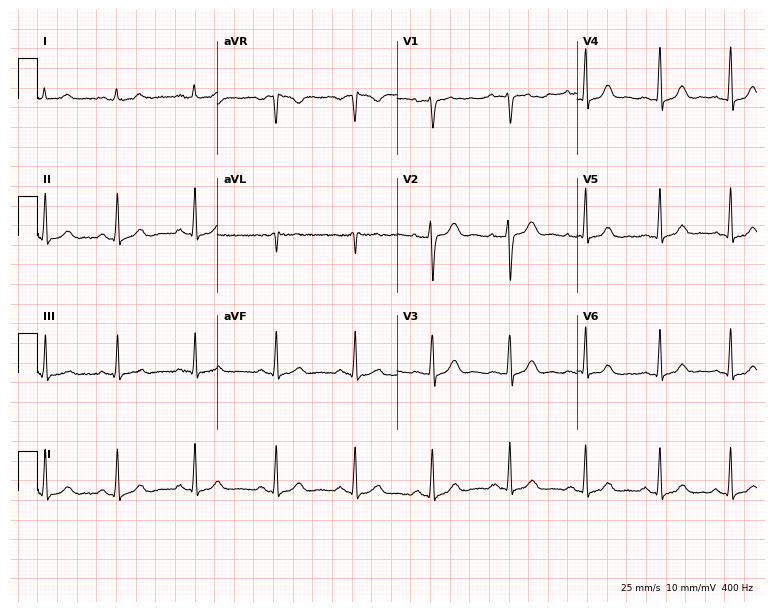
12-lead ECG from a 32-year-old female patient. Screened for six findings — first-degree AV block, right bundle branch block (RBBB), left bundle branch block (LBBB), sinus bradycardia, atrial fibrillation (AF), sinus tachycardia — none is recorded.